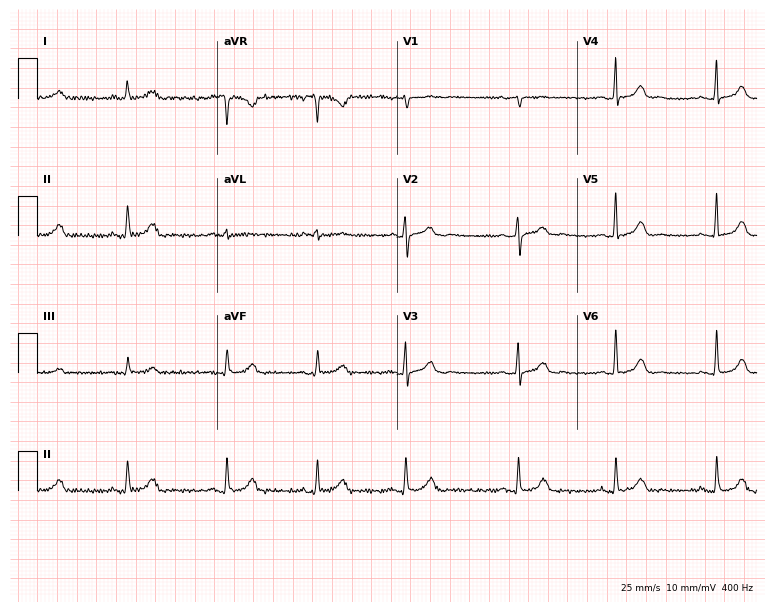
Electrocardiogram (7.3-second recording at 400 Hz), a female, 30 years old. Overall reading on record: normal ECG.